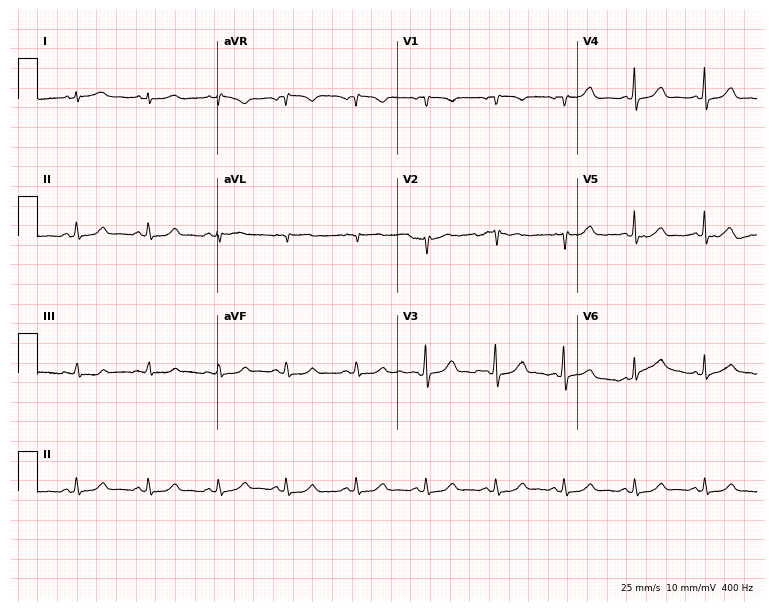
Standard 12-lead ECG recorded from a female, 44 years old. None of these six findings is recorded: first-degree AV block, right bundle branch block, left bundle branch block, sinus bradycardia, atrial fibrillation, sinus tachycardia.